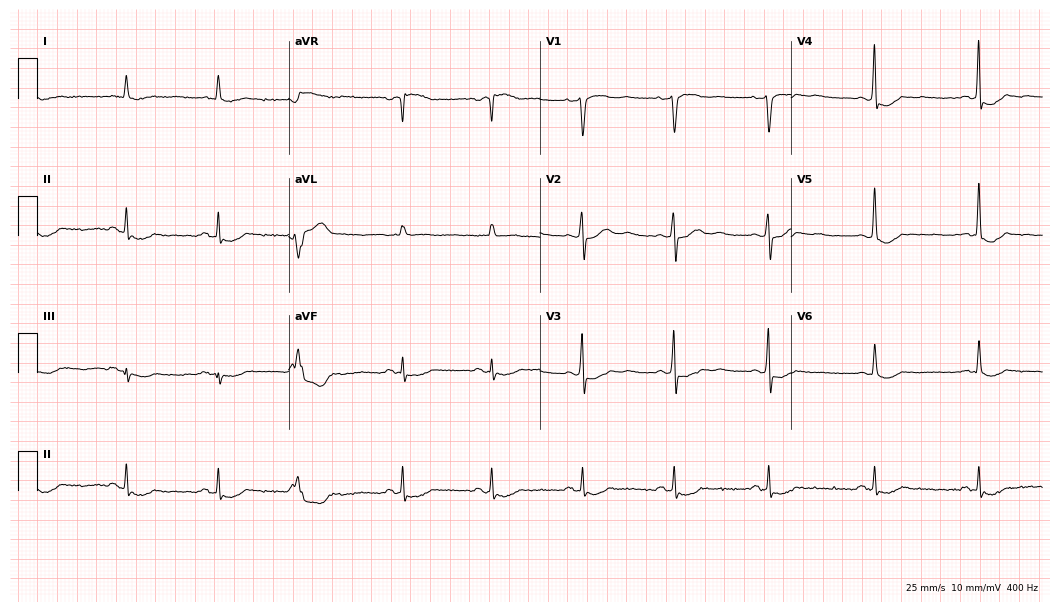
12-lead ECG from a male patient, 79 years old. No first-degree AV block, right bundle branch block, left bundle branch block, sinus bradycardia, atrial fibrillation or sinus tachycardia recorded for this tracing. Findings outside these six are not listed.